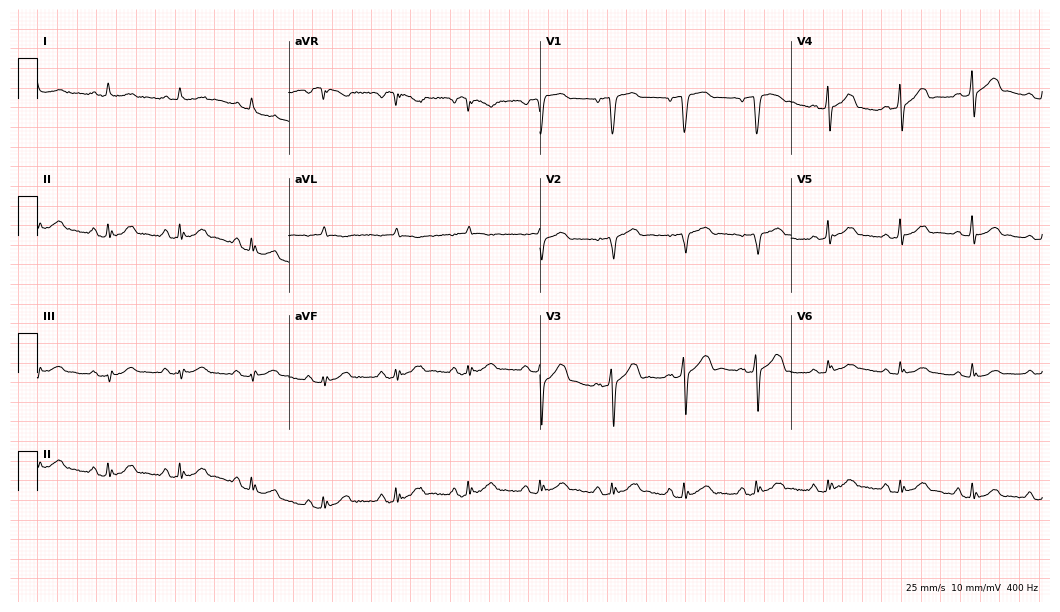
Electrocardiogram (10.2-second recording at 400 Hz), a 57-year-old male. Of the six screened findings (first-degree AV block, right bundle branch block, left bundle branch block, sinus bradycardia, atrial fibrillation, sinus tachycardia), none is recorded. Only these six findings were labelled.